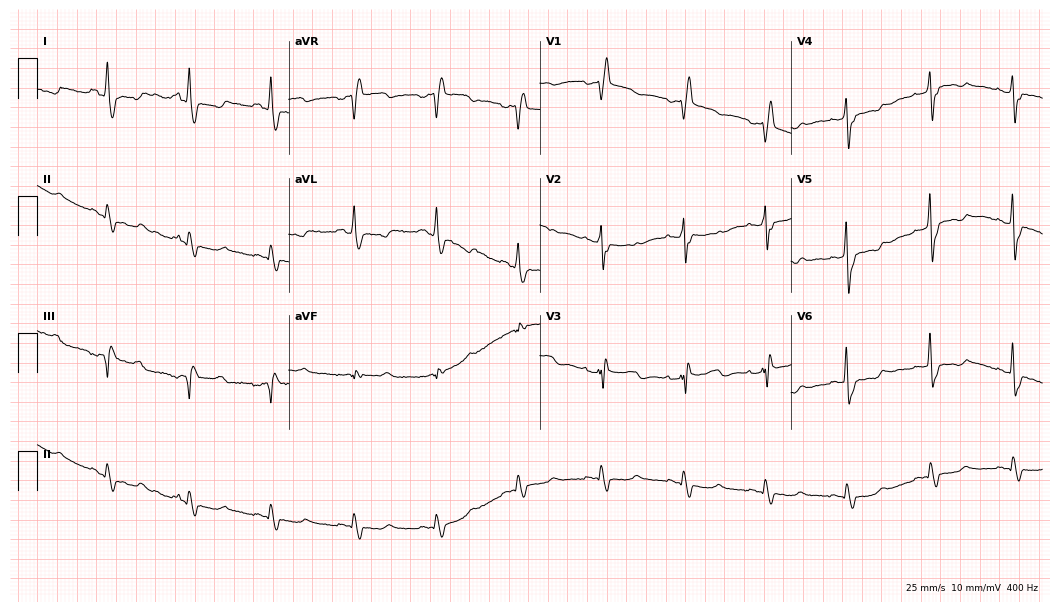
Resting 12-lead electrocardiogram. Patient: a 52-year-old female. None of these six findings is recorded: first-degree AV block, right bundle branch block, left bundle branch block, sinus bradycardia, atrial fibrillation, sinus tachycardia.